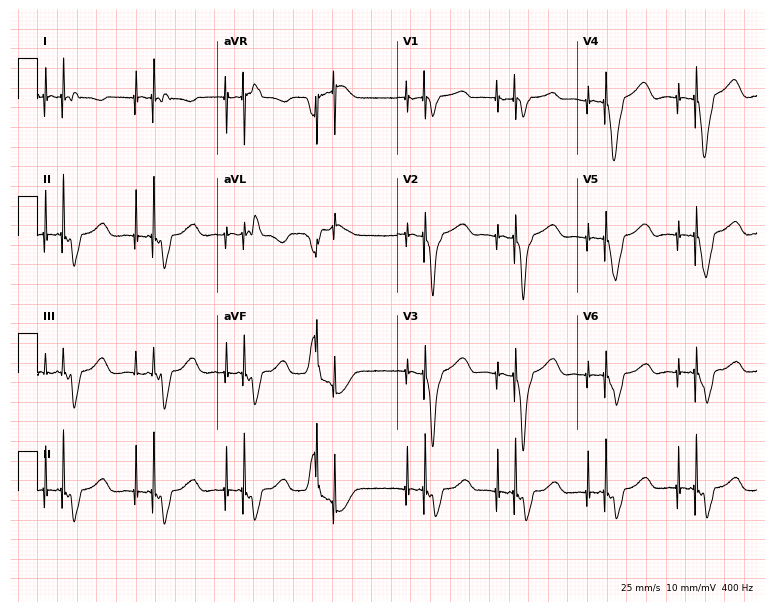
Resting 12-lead electrocardiogram (7.3-second recording at 400 Hz). Patient: a 53-year-old female. None of these six findings is recorded: first-degree AV block, right bundle branch block, left bundle branch block, sinus bradycardia, atrial fibrillation, sinus tachycardia. Other findings, if any, are not listed.